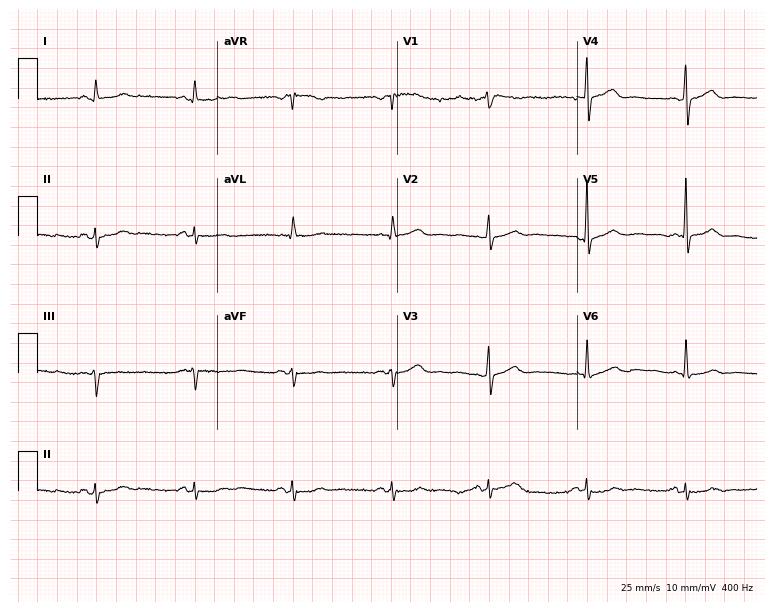
12-lead ECG from a male patient, 76 years old. Labelled as a normal ECG.